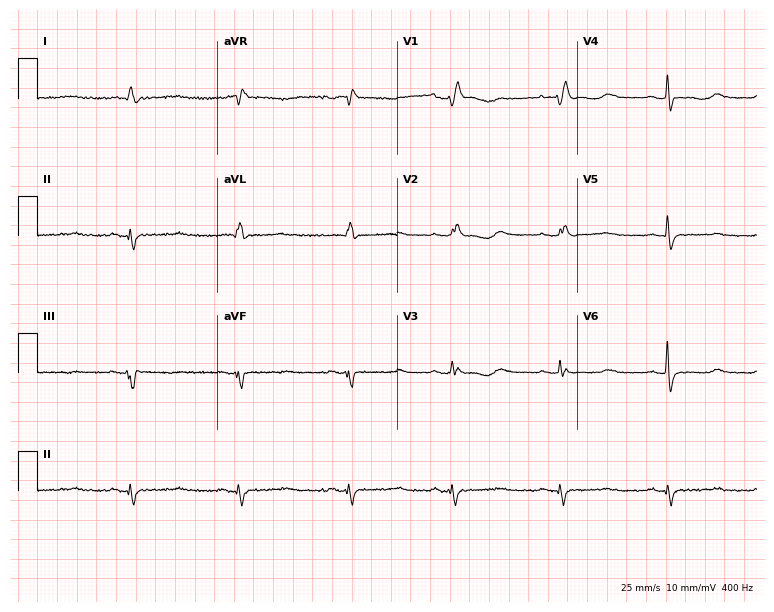
Electrocardiogram, a female, 53 years old. Interpretation includes right bundle branch block.